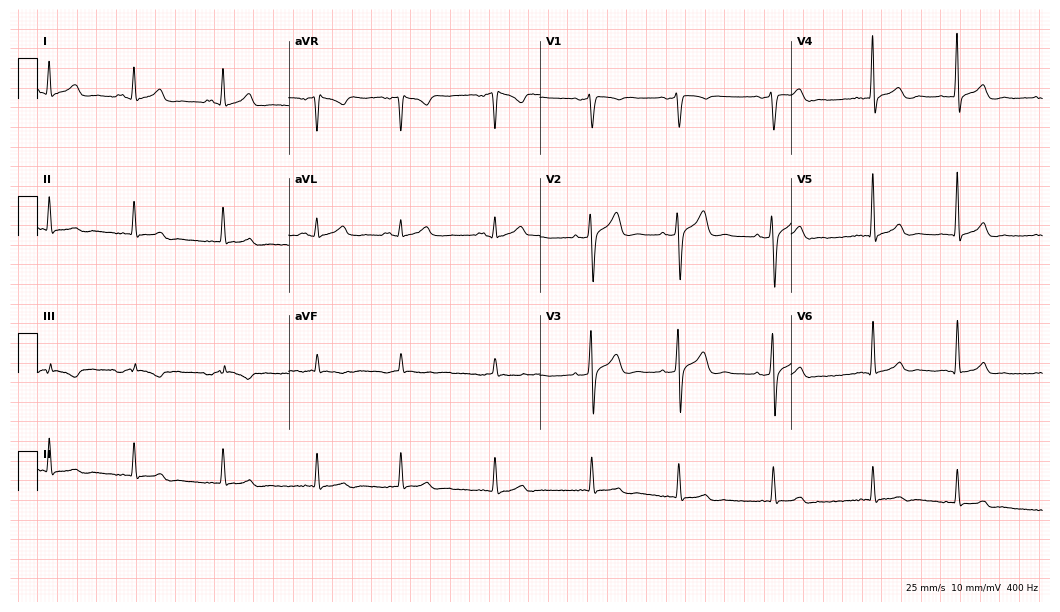
12-lead ECG from a 32-year-old male patient (10.2-second recording at 400 Hz). No first-degree AV block, right bundle branch block, left bundle branch block, sinus bradycardia, atrial fibrillation or sinus tachycardia recorded for this tracing.